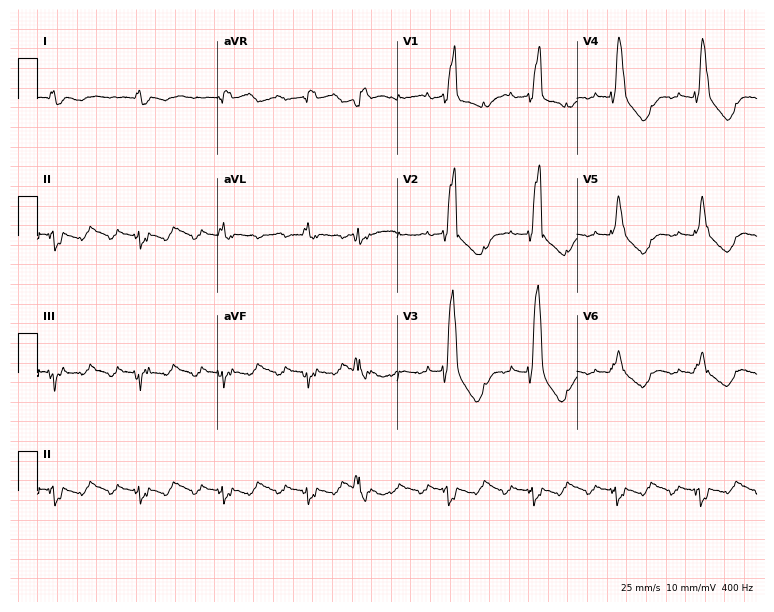
ECG (7.3-second recording at 400 Hz) — a 65-year-old male patient. Findings include right bundle branch block.